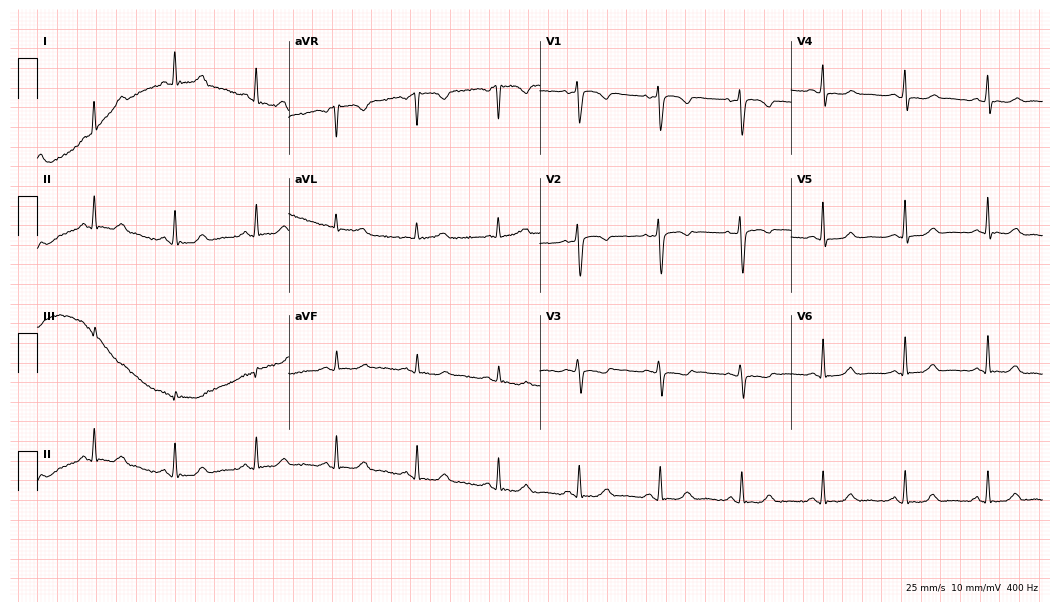
12-lead ECG from a woman, 54 years old. Screened for six findings — first-degree AV block, right bundle branch block (RBBB), left bundle branch block (LBBB), sinus bradycardia, atrial fibrillation (AF), sinus tachycardia — none is recorded.